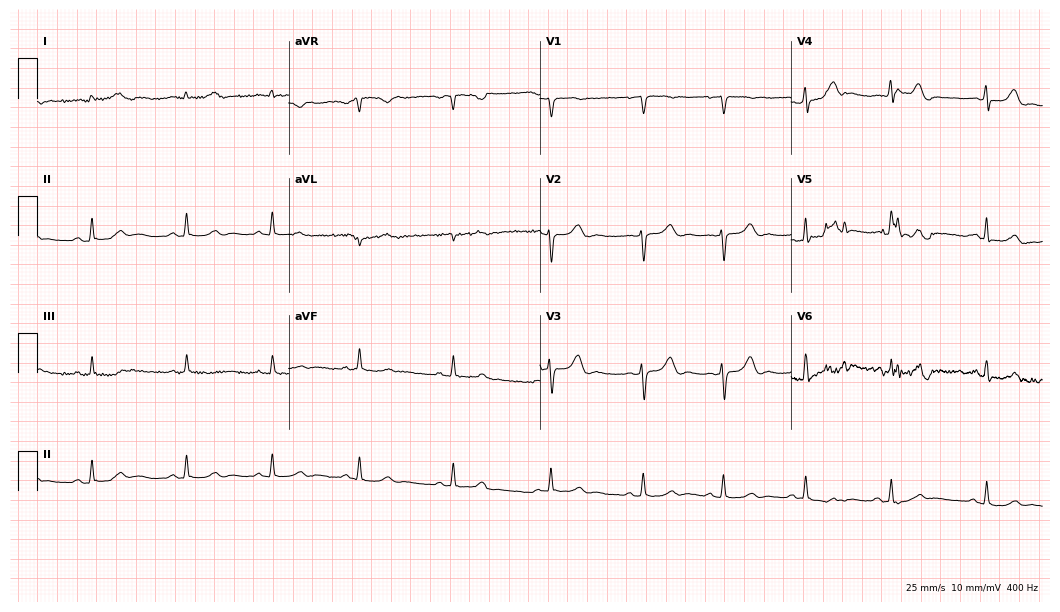
12-lead ECG from a 22-year-old female. Screened for six findings — first-degree AV block, right bundle branch block, left bundle branch block, sinus bradycardia, atrial fibrillation, sinus tachycardia — none is recorded.